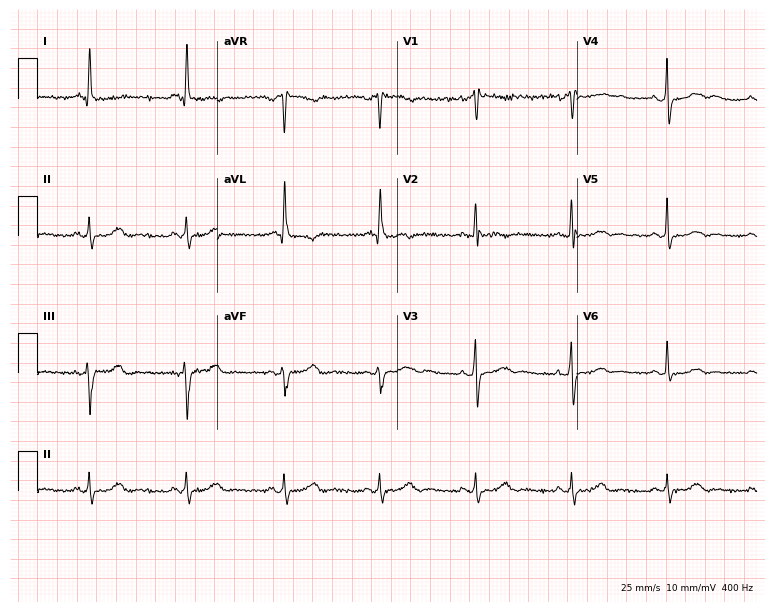
Resting 12-lead electrocardiogram (7.3-second recording at 400 Hz). Patient: a 61-year-old female. None of these six findings is recorded: first-degree AV block, right bundle branch block, left bundle branch block, sinus bradycardia, atrial fibrillation, sinus tachycardia.